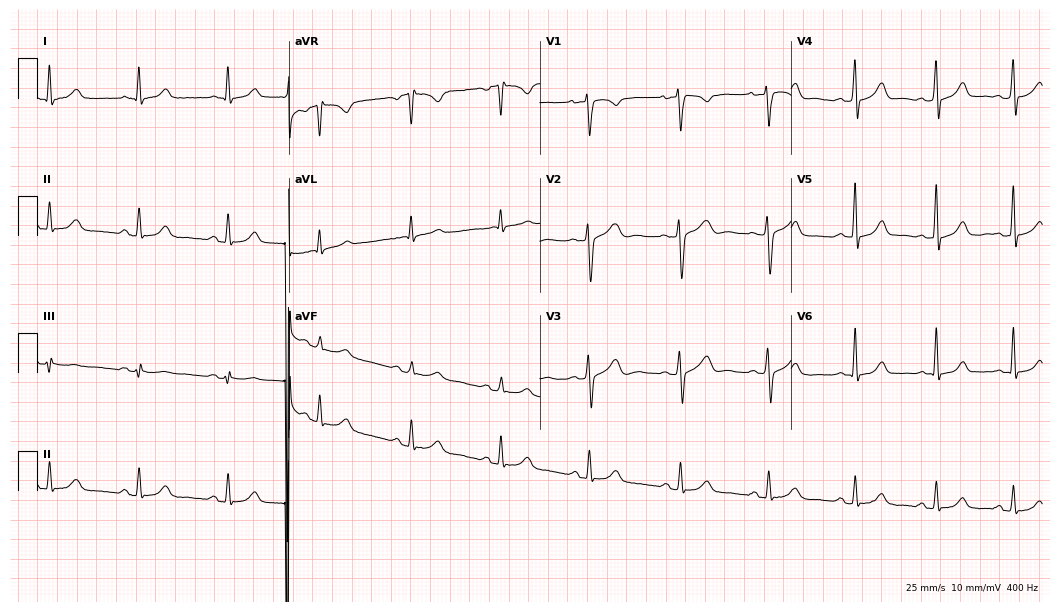
Electrocardiogram, a 42-year-old female. Of the six screened findings (first-degree AV block, right bundle branch block (RBBB), left bundle branch block (LBBB), sinus bradycardia, atrial fibrillation (AF), sinus tachycardia), none is recorded.